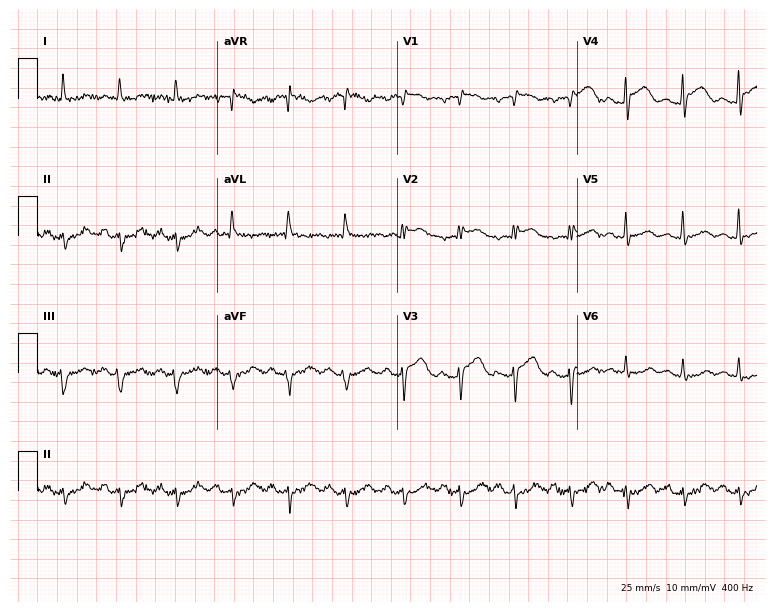
Electrocardiogram, a 70-year-old female patient. Interpretation includes sinus tachycardia (a sinus rate of 100 beats per minute or more).